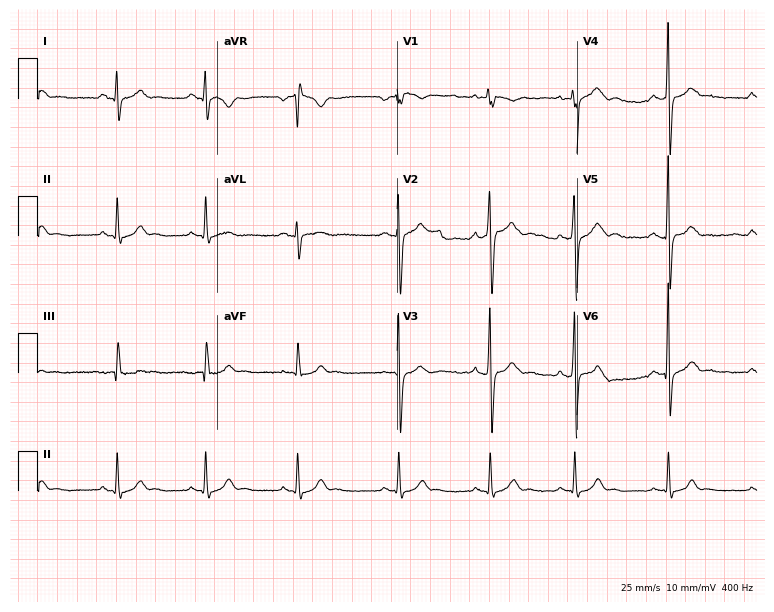
Resting 12-lead electrocardiogram (7.3-second recording at 400 Hz). Patient: a male, 25 years old. Read as a normal ECG.